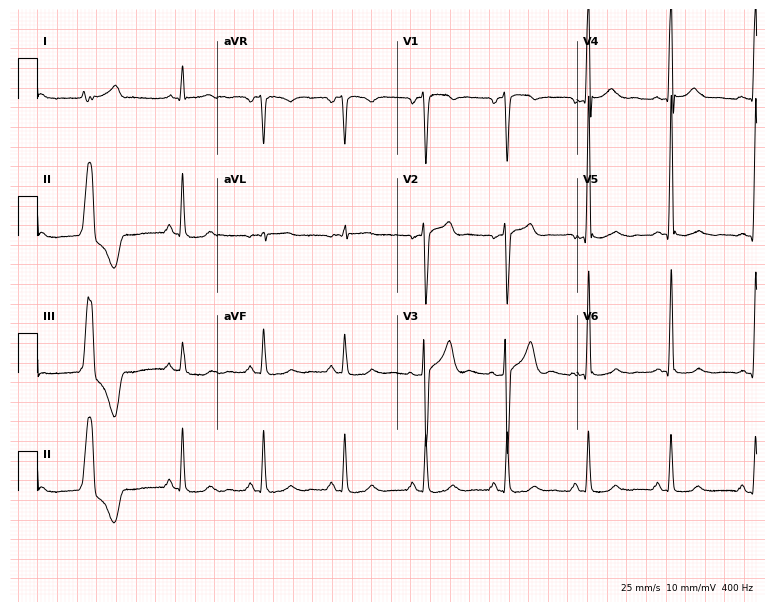
12-lead ECG (7.3-second recording at 400 Hz) from a male, 56 years old. Screened for six findings — first-degree AV block, right bundle branch block, left bundle branch block, sinus bradycardia, atrial fibrillation, sinus tachycardia — none is recorded. Findings outside these six are not listed.